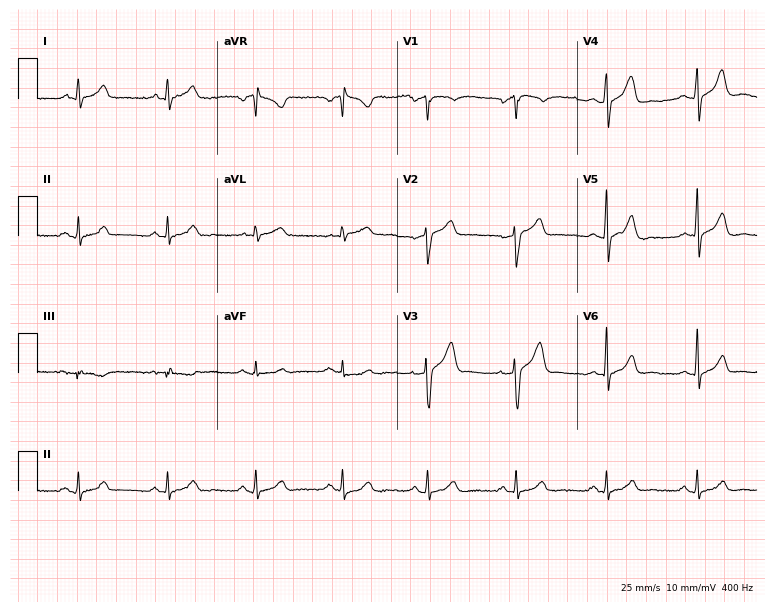
12-lead ECG from a 44-year-old male patient (7.3-second recording at 400 Hz). Recorded interpretation: within normal limits.